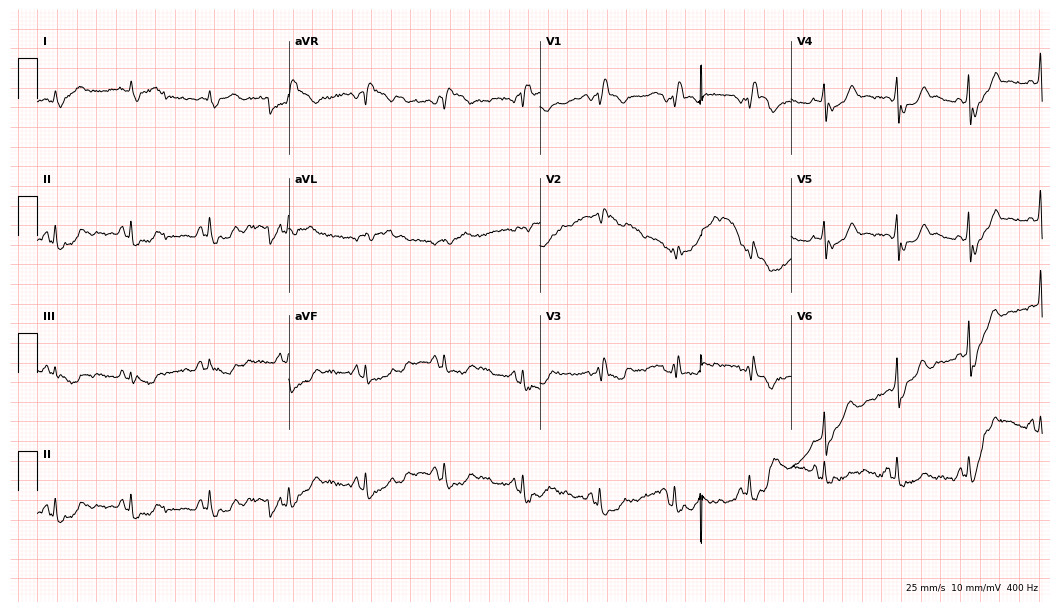
Electrocardiogram (10.2-second recording at 400 Hz), a 74-year-old male patient. Of the six screened findings (first-degree AV block, right bundle branch block, left bundle branch block, sinus bradycardia, atrial fibrillation, sinus tachycardia), none is recorded. Other findings, if any, are not listed.